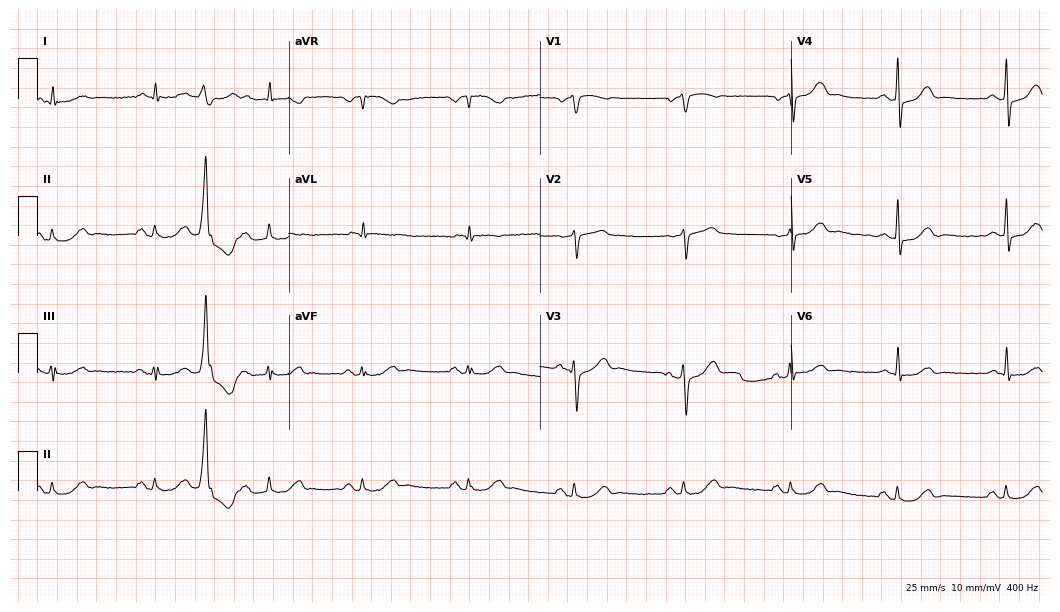
12-lead ECG from a male patient, 83 years old (10.2-second recording at 400 Hz). No first-degree AV block, right bundle branch block, left bundle branch block, sinus bradycardia, atrial fibrillation or sinus tachycardia recorded for this tracing.